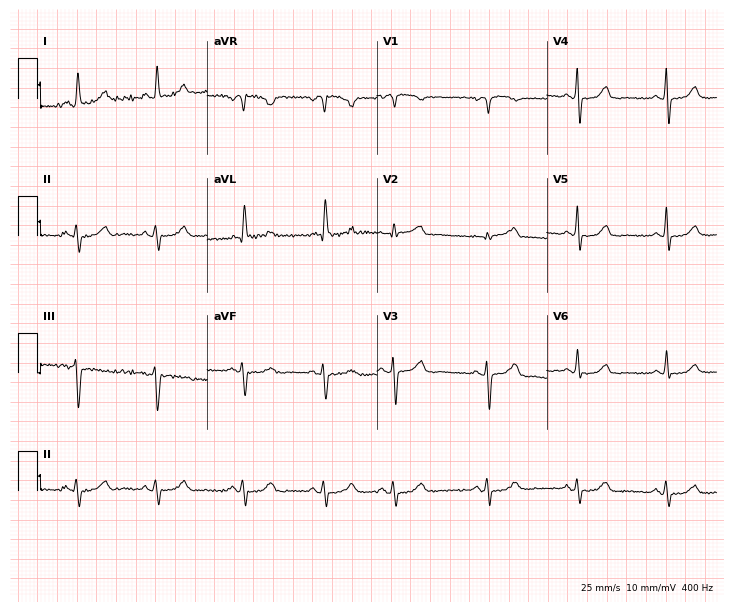
12-lead ECG from a 72-year-old female. No first-degree AV block, right bundle branch block, left bundle branch block, sinus bradycardia, atrial fibrillation or sinus tachycardia recorded for this tracing.